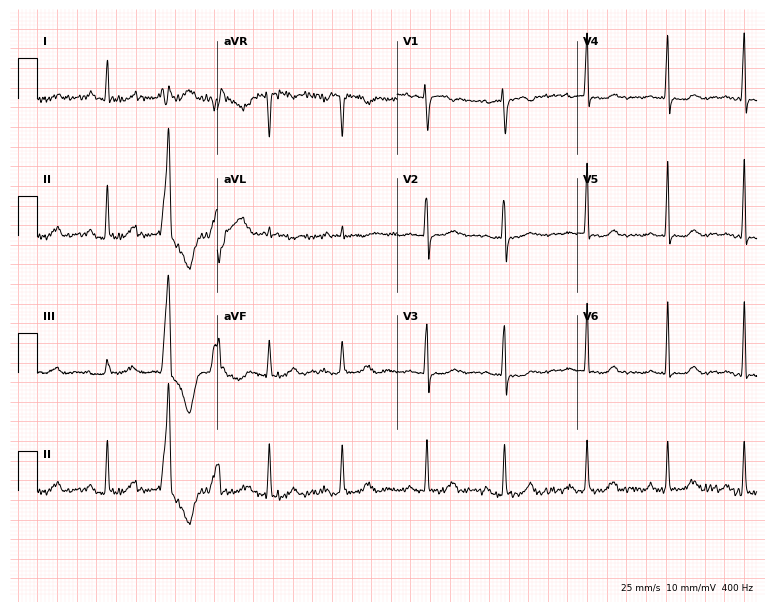
Standard 12-lead ECG recorded from a 50-year-old woman. None of these six findings is recorded: first-degree AV block, right bundle branch block (RBBB), left bundle branch block (LBBB), sinus bradycardia, atrial fibrillation (AF), sinus tachycardia. Only these six findings were labelled.